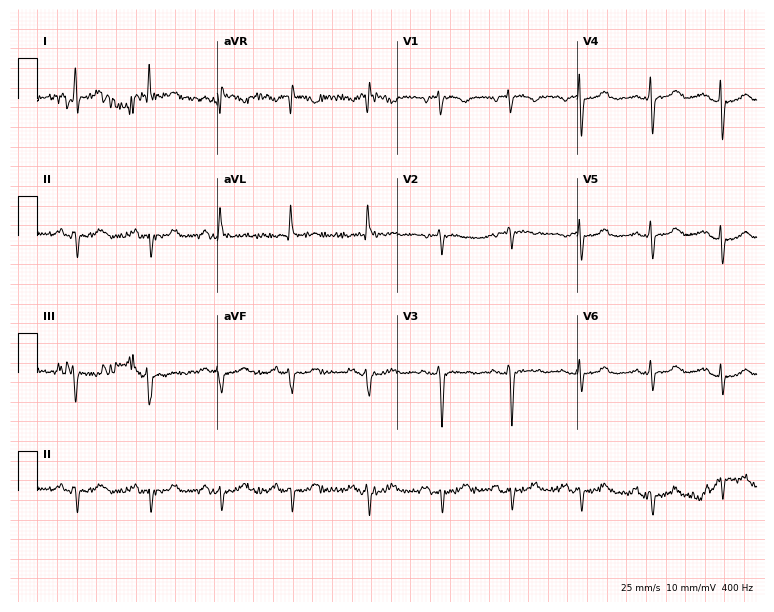
ECG (7.3-second recording at 400 Hz) — a 70-year-old female. Screened for six findings — first-degree AV block, right bundle branch block (RBBB), left bundle branch block (LBBB), sinus bradycardia, atrial fibrillation (AF), sinus tachycardia — none is recorded.